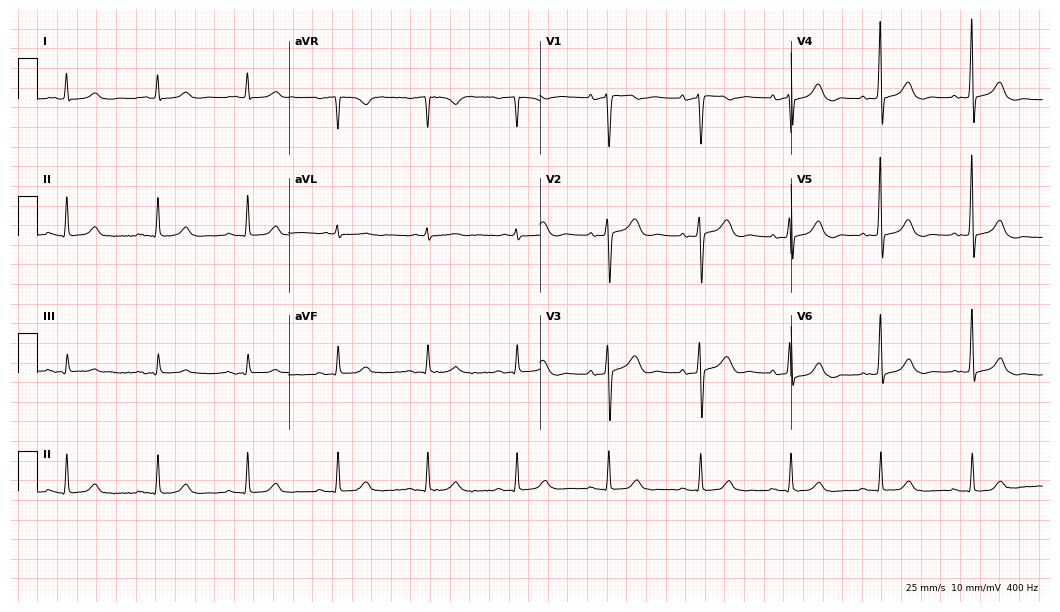
Electrocardiogram (10.2-second recording at 400 Hz), a 74-year-old female. Overall reading on record: normal ECG.